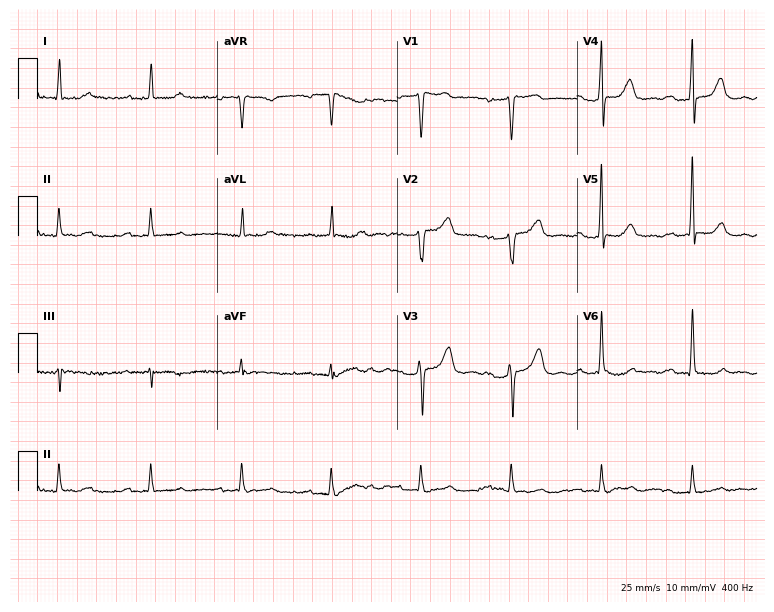
Resting 12-lead electrocardiogram (7.3-second recording at 400 Hz). Patient: a female, 74 years old. The tracing shows first-degree AV block.